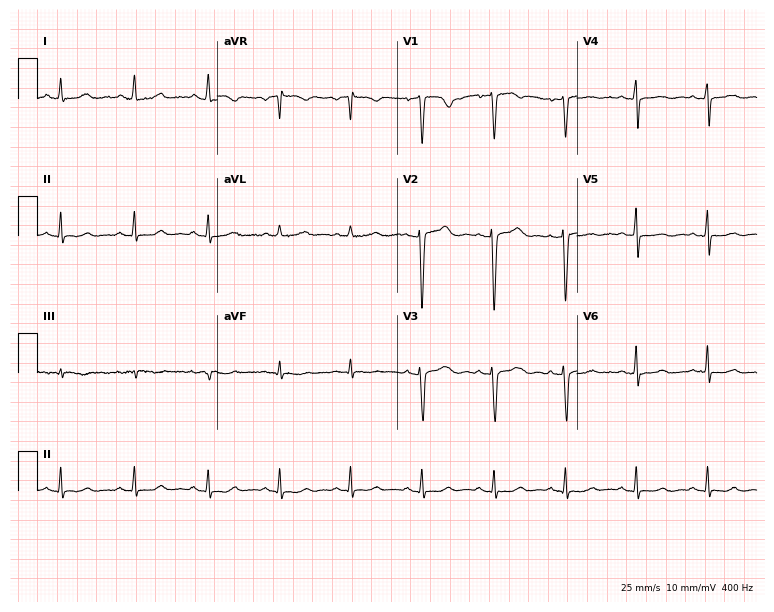
ECG — a 38-year-old female patient. Labelled as a normal ECG.